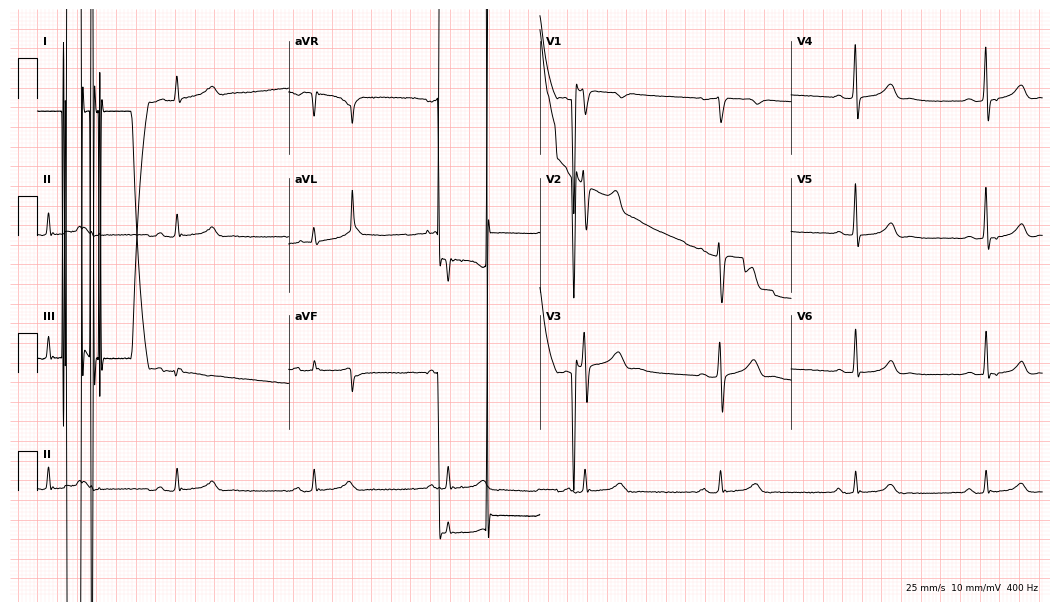
ECG (10.2-second recording at 400 Hz) — a 50-year-old male patient. Findings include sinus bradycardia (a sinus rate of 50 beats per minute or less).